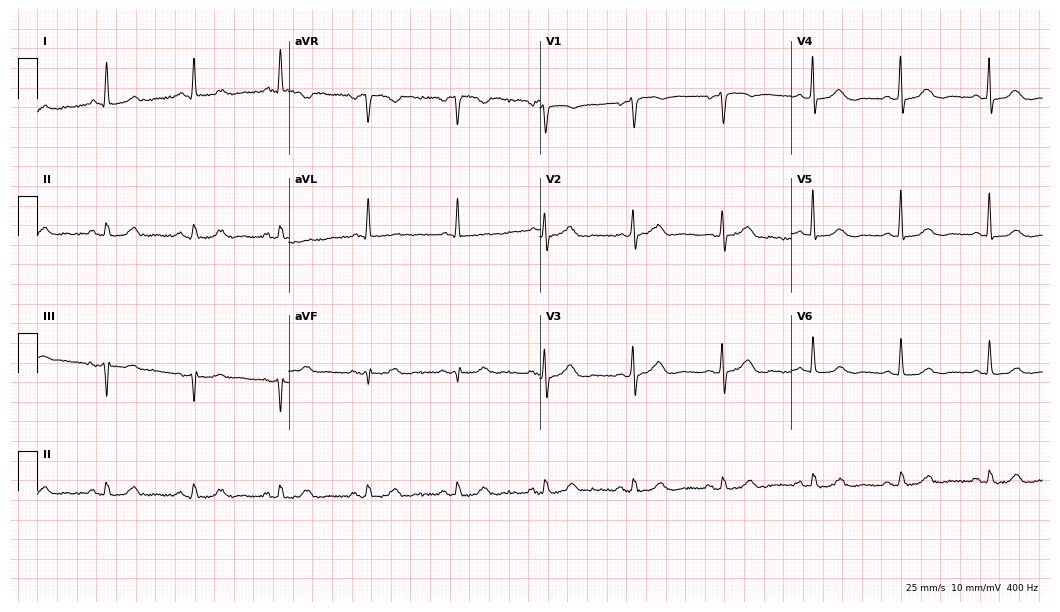
ECG (10.2-second recording at 400 Hz) — a 73-year-old woman. Screened for six findings — first-degree AV block, right bundle branch block (RBBB), left bundle branch block (LBBB), sinus bradycardia, atrial fibrillation (AF), sinus tachycardia — none is recorded. Findings outside these six are not listed.